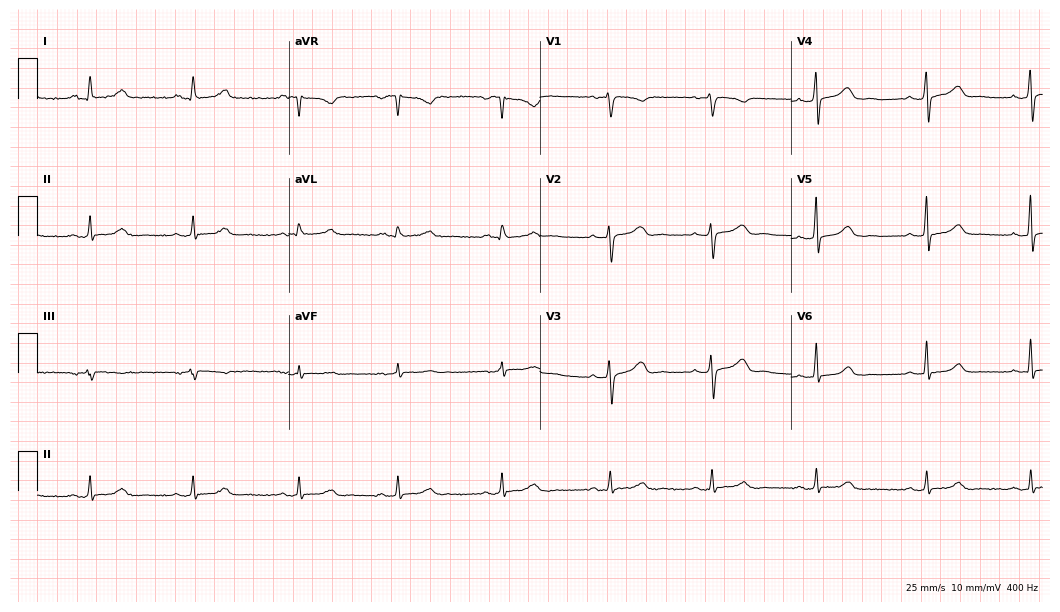
12-lead ECG from a woman, 45 years old. Screened for six findings — first-degree AV block, right bundle branch block, left bundle branch block, sinus bradycardia, atrial fibrillation, sinus tachycardia — none is recorded. Only these six findings were labelled.